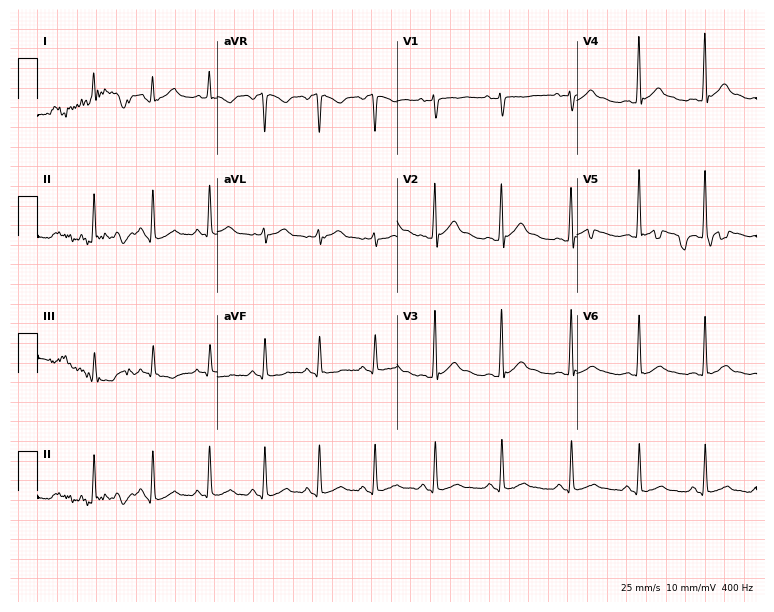
Standard 12-lead ECG recorded from a 29-year-old male patient (7.3-second recording at 400 Hz). None of these six findings is recorded: first-degree AV block, right bundle branch block (RBBB), left bundle branch block (LBBB), sinus bradycardia, atrial fibrillation (AF), sinus tachycardia. Other findings, if any, are not listed.